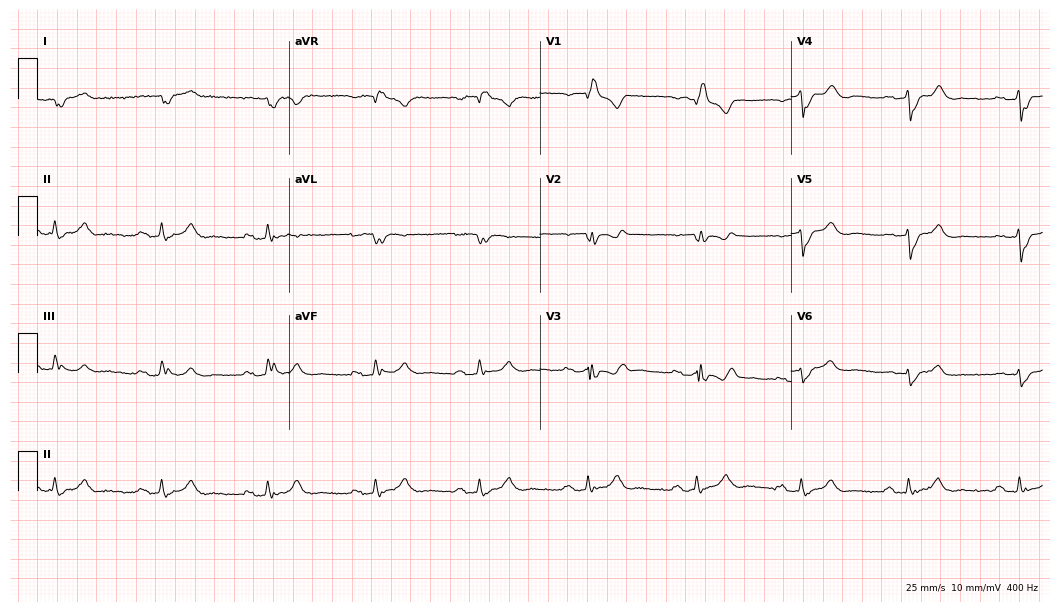
12-lead ECG (10.2-second recording at 400 Hz) from a 63-year-old man. Findings include right bundle branch block (RBBB).